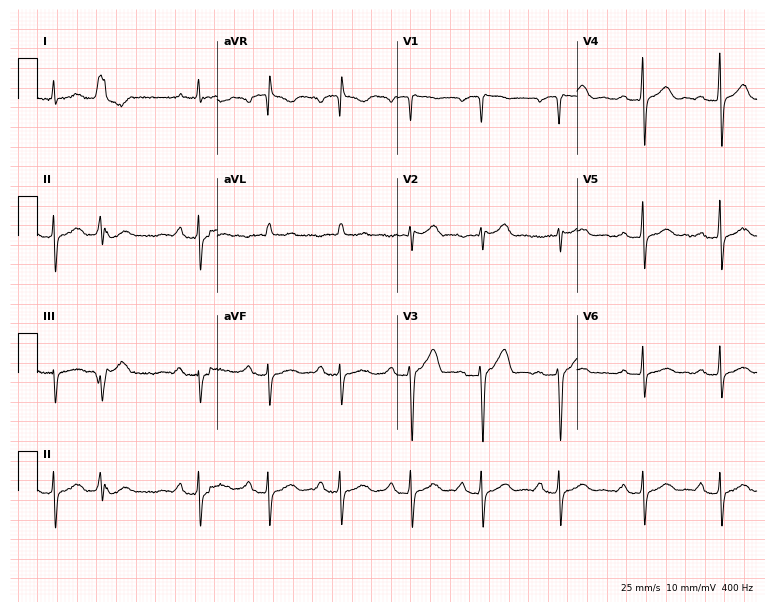
Standard 12-lead ECG recorded from a 62-year-old male patient. The tracing shows first-degree AV block.